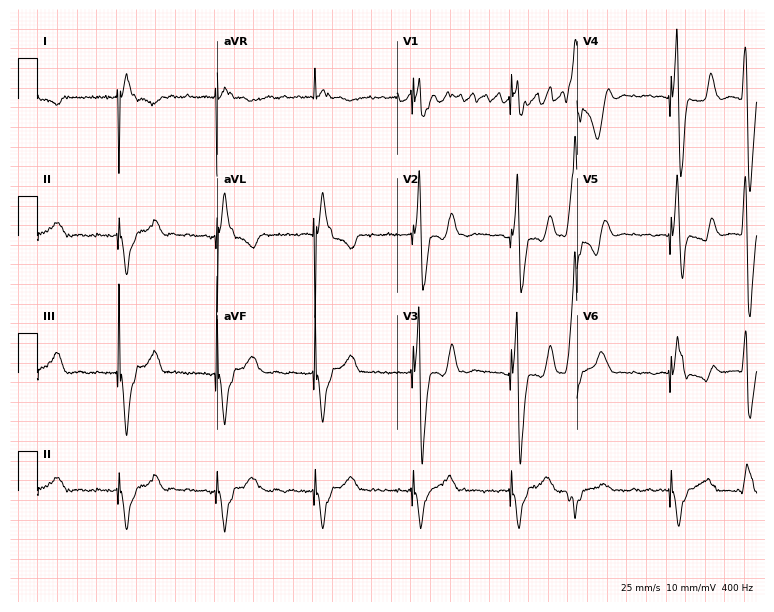
Electrocardiogram, a male, 79 years old. Of the six screened findings (first-degree AV block, right bundle branch block, left bundle branch block, sinus bradycardia, atrial fibrillation, sinus tachycardia), none is recorded.